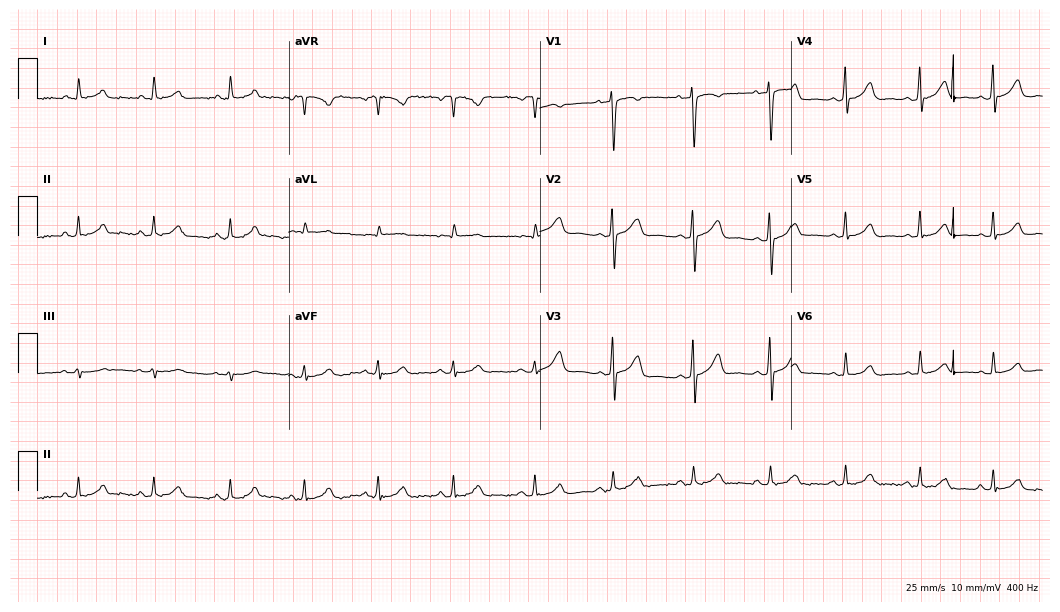
ECG — a 33-year-old woman. Labelled as a normal ECG.